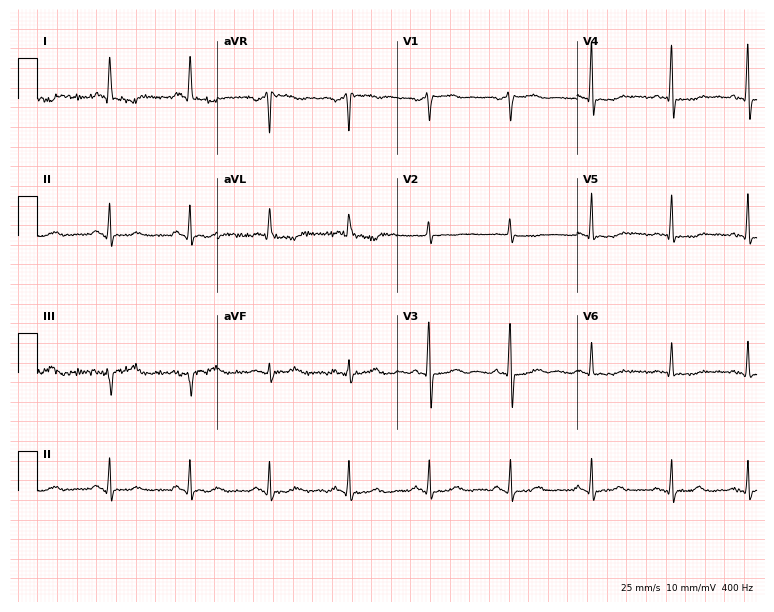
ECG (7.3-second recording at 400 Hz) — a 56-year-old female patient. Screened for six findings — first-degree AV block, right bundle branch block, left bundle branch block, sinus bradycardia, atrial fibrillation, sinus tachycardia — none is recorded.